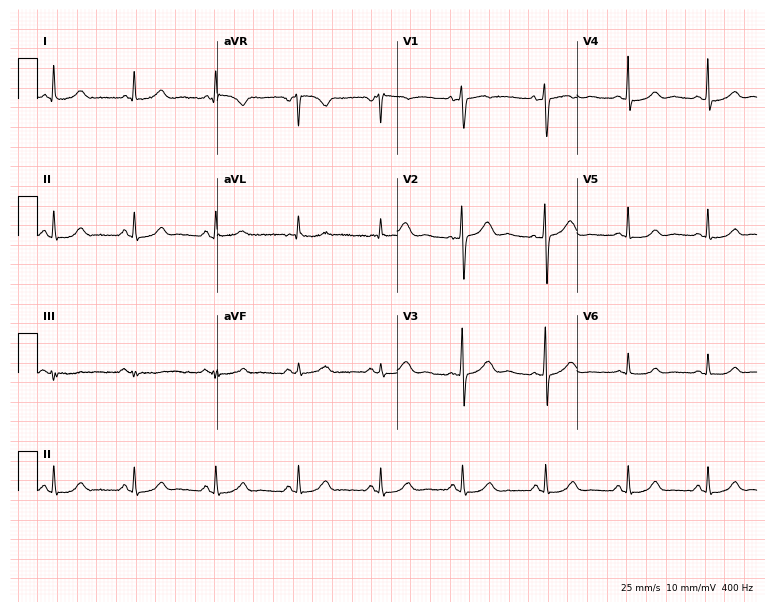
Electrocardiogram (7.3-second recording at 400 Hz), a 37-year-old woman. Of the six screened findings (first-degree AV block, right bundle branch block (RBBB), left bundle branch block (LBBB), sinus bradycardia, atrial fibrillation (AF), sinus tachycardia), none is recorded.